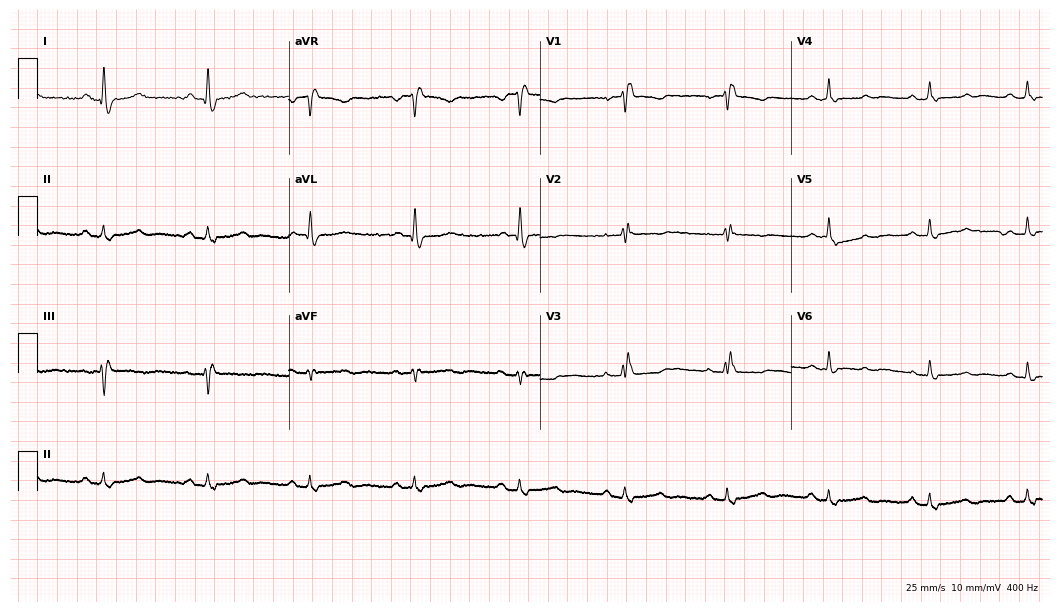
Resting 12-lead electrocardiogram (10.2-second recording at 400 Hz). Patient: a 44-year-old female. The tracing shows right bundle branch block.